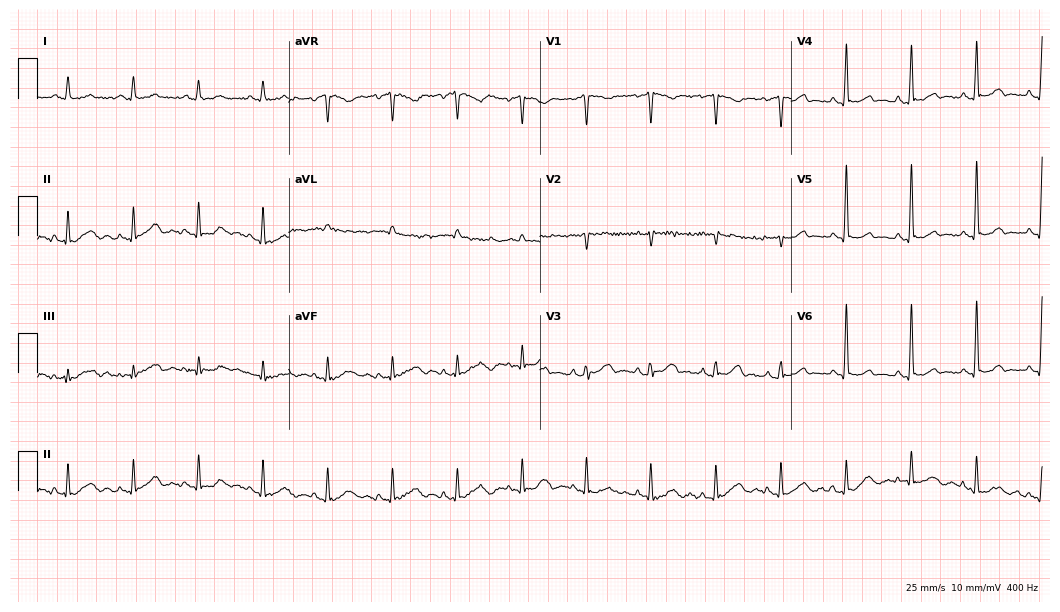
ECG (10.2-second recording at 400 Hz) — a 69-year-old female patient. Labelled as a normal ECG.